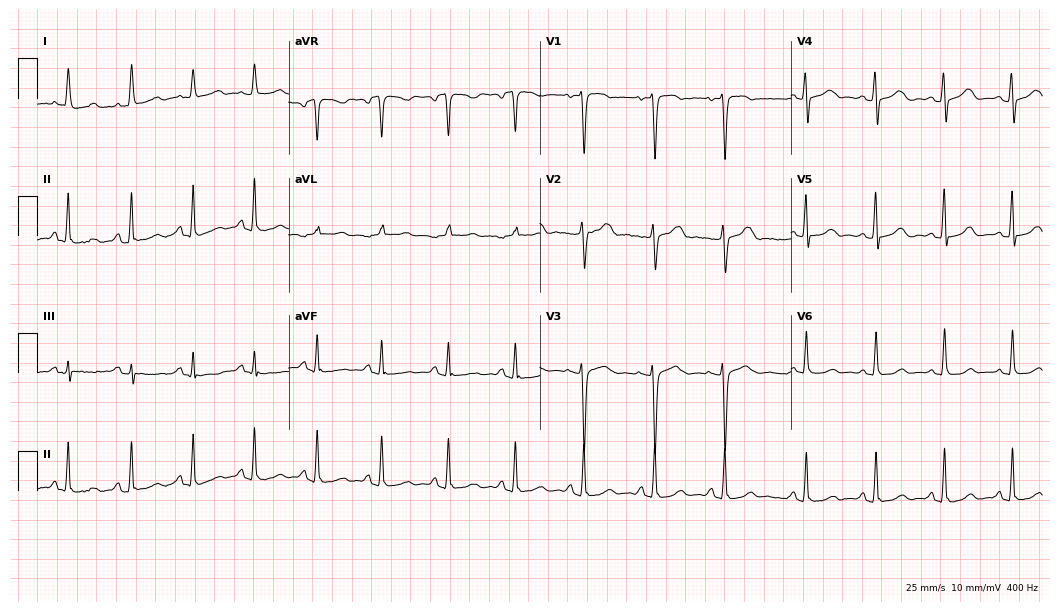
12-lead ECG from a 31-year-old female. Labelled as a normal ECG.